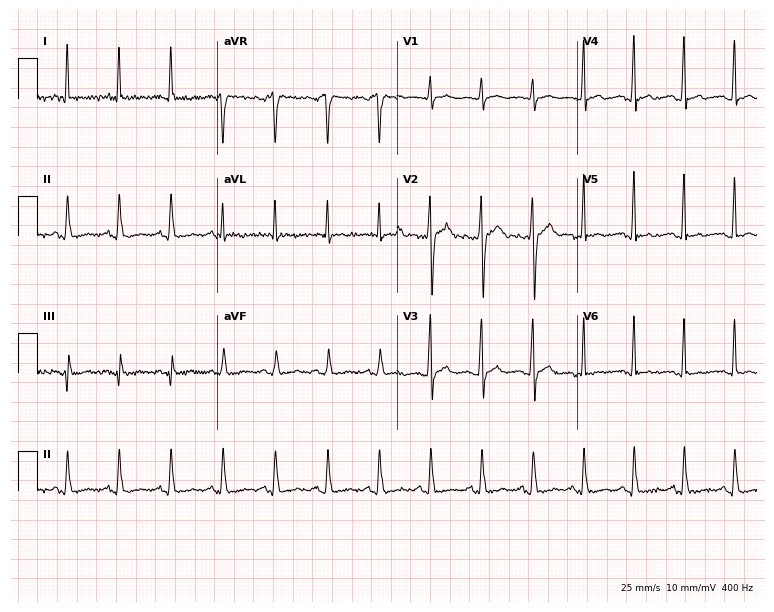
Resting 12-lead electrocardiogram (7.3-second recording at 400 Hz). Patient: a 31-year-old male. The tracing shows sinus tachycardia (a sinus rate of 100 beats per minute or more).